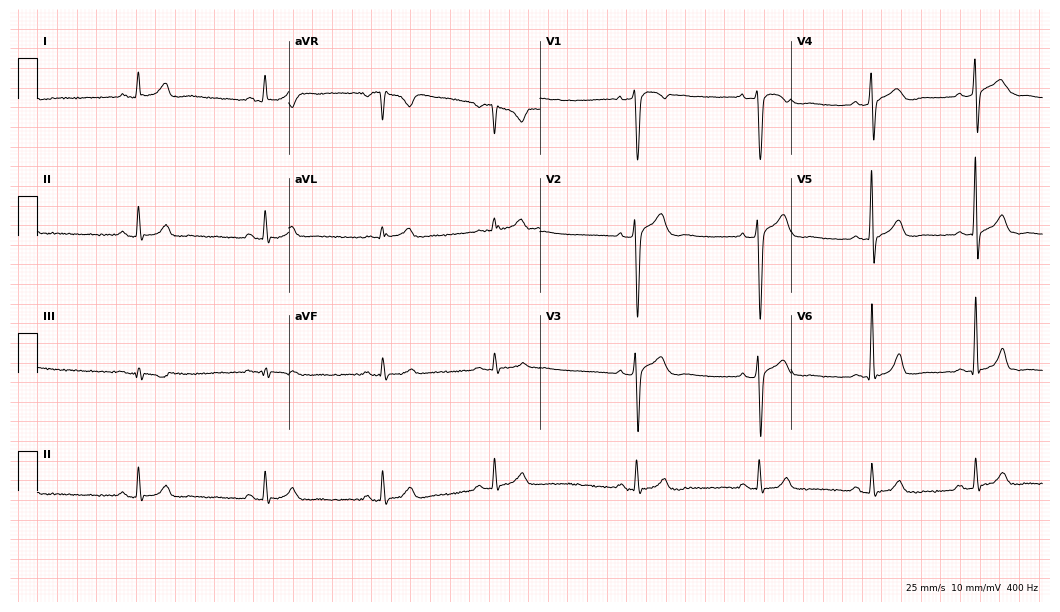
ECG (10.2-second recording at 400 Hz) — a man, 42 years old. Screened for six findings — first-degree AV block, right bundle branch block (RBBB), left bundle branch block (LBBB), sinus bradycardia, atrial fibrillation (AF), sinus tachycardia — none is recorded.